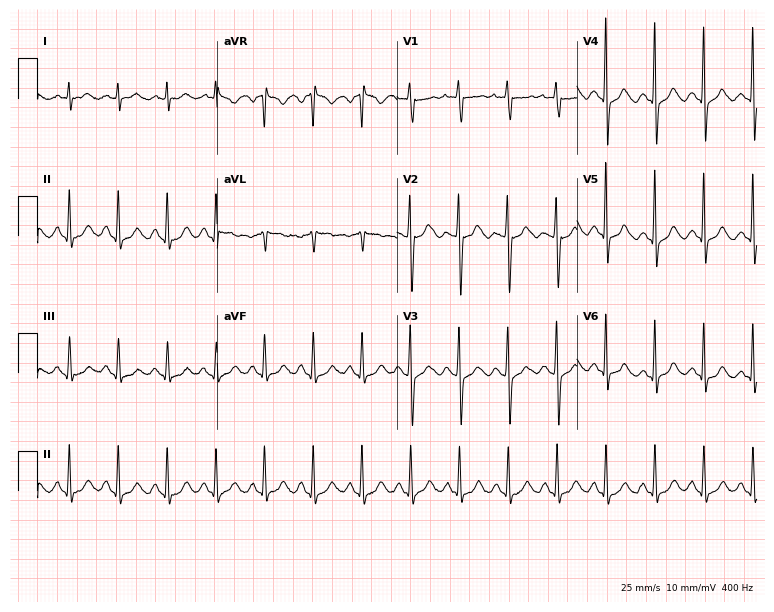
Standard 12-lead ECG recorded from a 72-year-old female. The tracing shows sinus tachycardia (a sinus rate of 100 beats per minute or more).